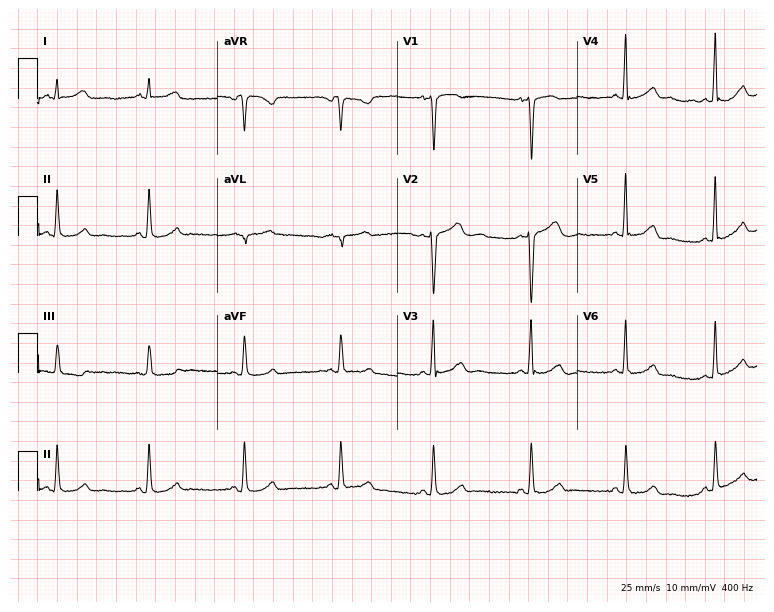
12-lead ECG (7.3-second recording at 400 Hz) from a 34-year-old woman. Screened for six findings — first-degree AV block, right bundle branch block (RBBB), left bundle branch block (LBBB), sinus bradycardia, atrial fibrillation (AF), sinus tachycardia — none is recorded. Only these six findings were labelled.